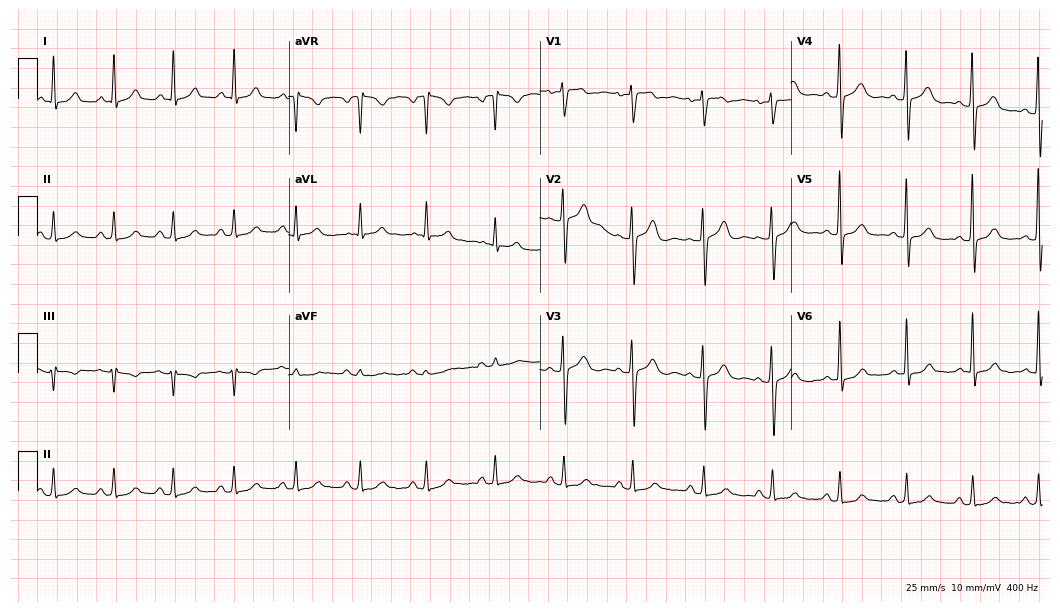
Resting 12-lead electrocardiogram. Patient: a 53-year-old female. Read as a normal ECG.